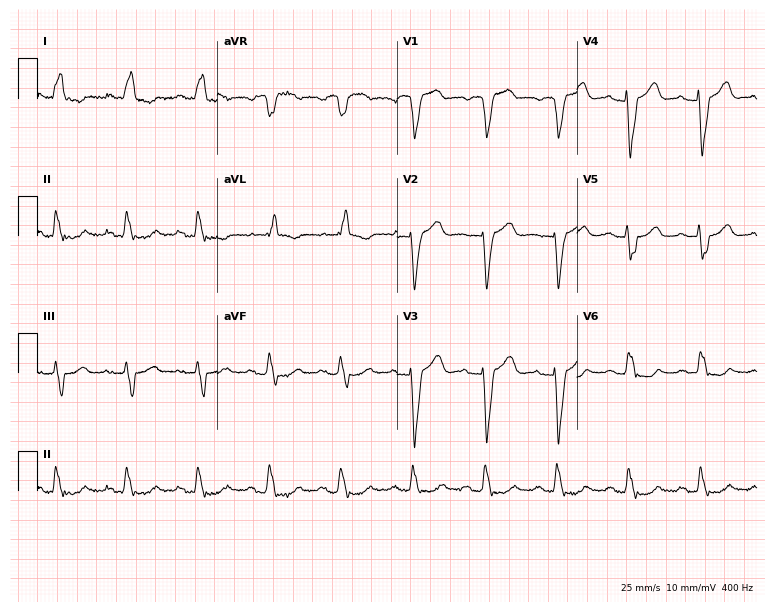
Standard 12-lead ECG recorded from a female, 85 years old (7.3-second recording at 400 Hz). None of these six findings is recorded: first-degree AV block, right bundle branch block, left bundle branch block, sinus bradycardia, atrial fibrillation, sinus tachycardia. Only these six findings were labelled.